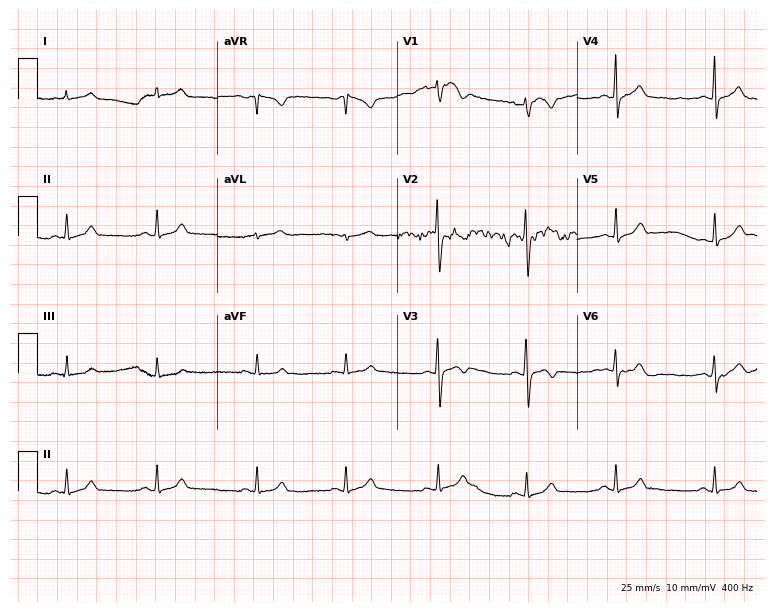
Resting 12-lead electrocardiogram (7.3-second recording at 400 Hz). Patient: a 19-year-old female. Read as a normal ECG.